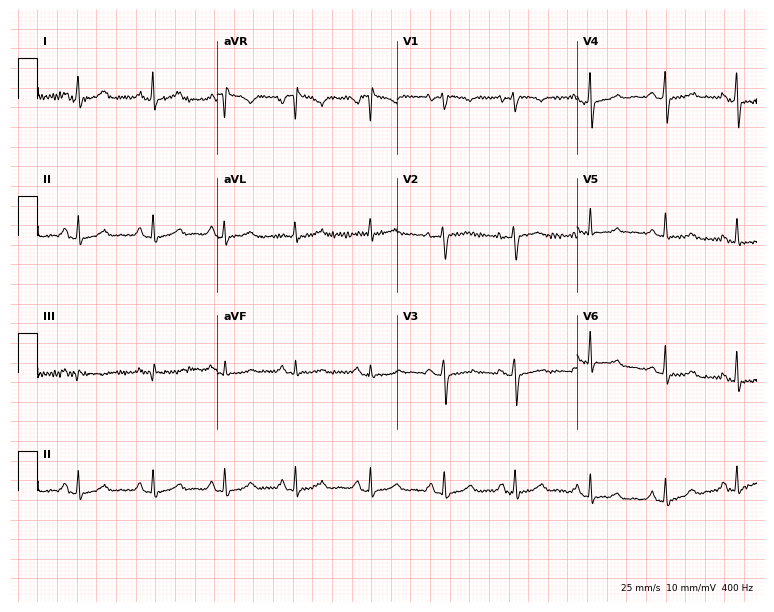
12-lead ECG from a 55-year-old female. No first-degree AV block, right bundle branch block, left bundle branch block, sinus bradycardia, atrial fibrillation or sinus tachycardia recorded for this tracing.